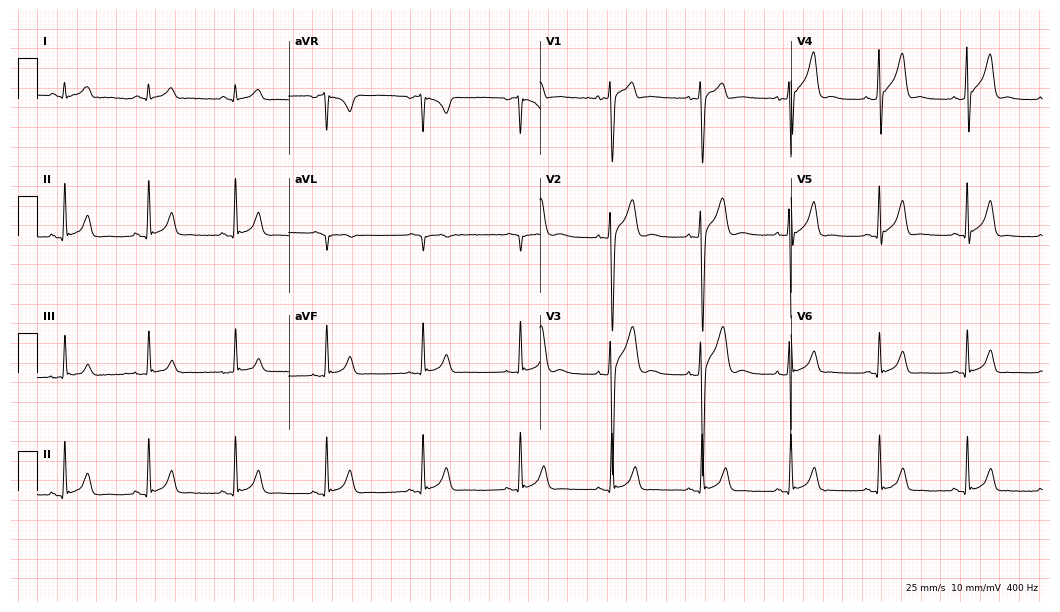
Standard 12-lead ECG recorded from a male, 19 years old. None of these six findings is recorded: first-degree AV block, right bundle branch block (RBBB), left bundle branch block (LBBB), sinus bradycardia, atrial fibrillation (AF), sinus tachycardia. Only these six findings were labelled.